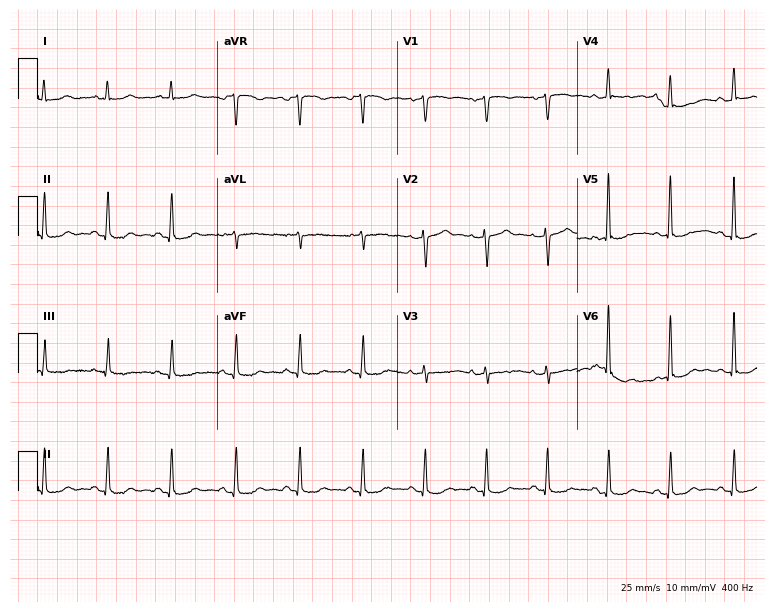
ECG — a 75-year-old male. Screened for six findings — first-degree AV block, right bundle branch block (RBBB), left bundle branch block (LBBB), sinus bradycardia, atrial fibrillation (AF), sinus tachycardia — none is recorded. Only these six findings were labelled.